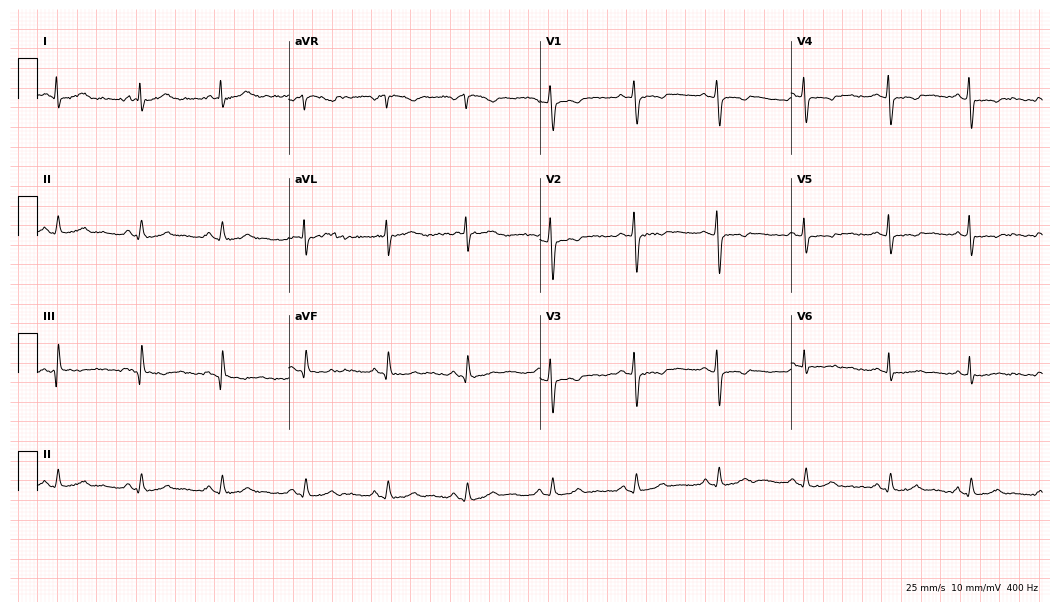
12-lead ECG from a female, 41 years old (10.2-second recording at 400 Hz). No first-degree AV block, right bundle branch block, left bundle branch block, sinus bradycardia, atrial fibrillation or sinus tachycardia recorded for this tracing. Findings outside these six are not listed.